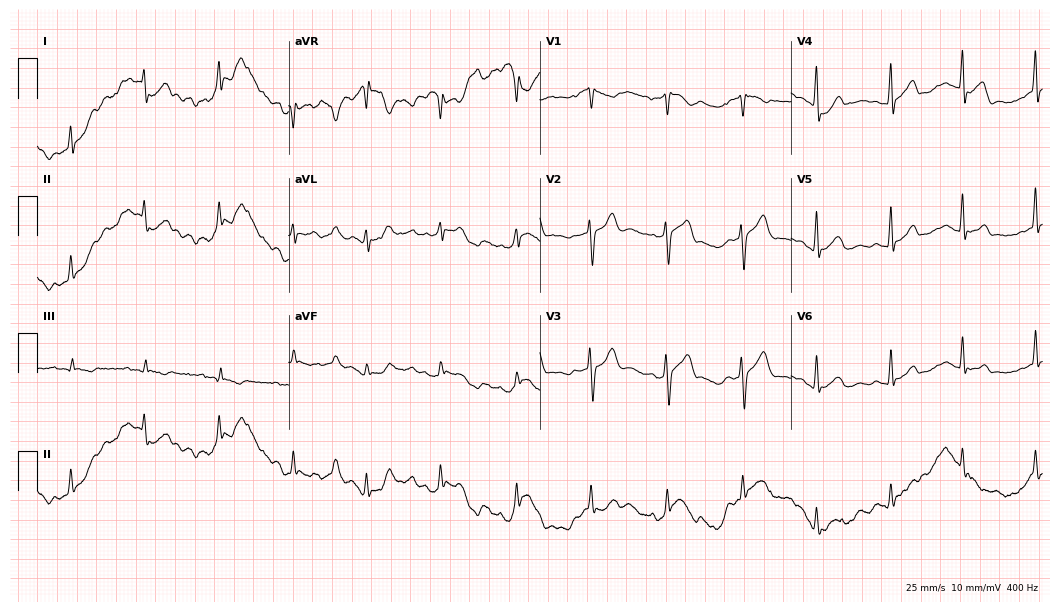
ECG (10.2-second recording at 400 Hz) — a male, 32 years old. Screened for six findings — first-degree AV block, right bundle branch block, left bundle branch block, sinus bradycardia, atrial fibrillation, sinus tachycardia — none is recorded.